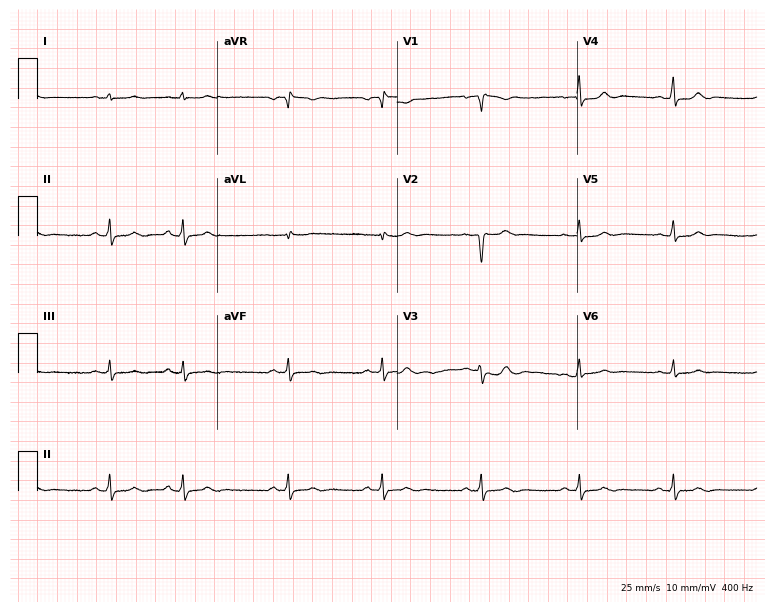
Standard 12-lead ECG recorded from a female, 34 years old. None of these six findings is recorded: first-degree AV block, right bundle branch block, left bundle branch block, sinus bradycardia, atrial fibrillation, sinus tachycardia. Only these six findings were labelled.